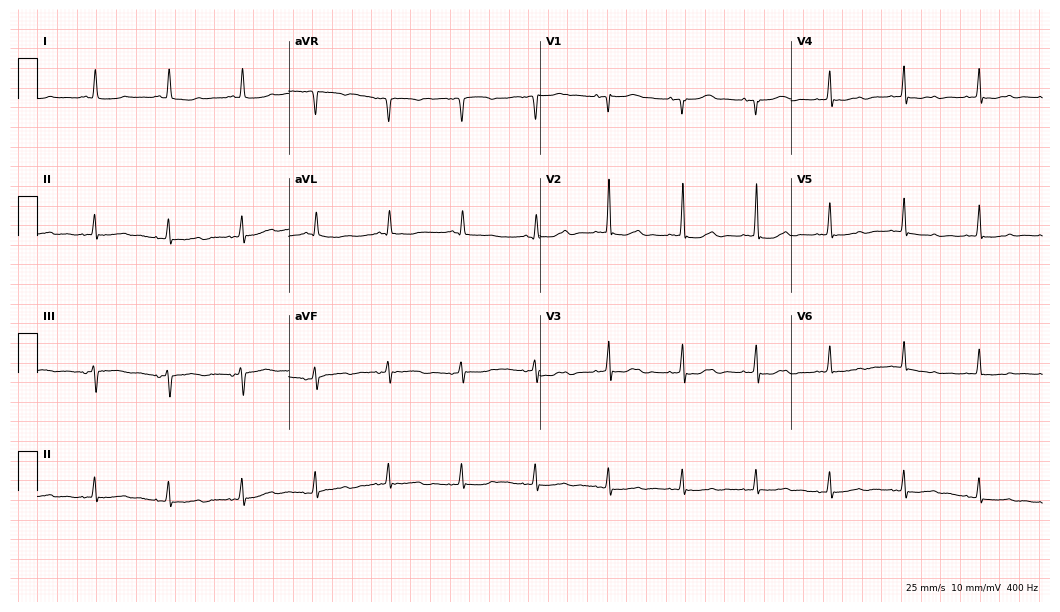
Electrocardiogram, a 71-year-old female. Of the six screened findings (first-degree AV block, right bundle branch block, left bundle branch block, sinus bradycardia, atrial fibrillation, sinus tachycardia), none is recorded. Only these six findings were labelled.